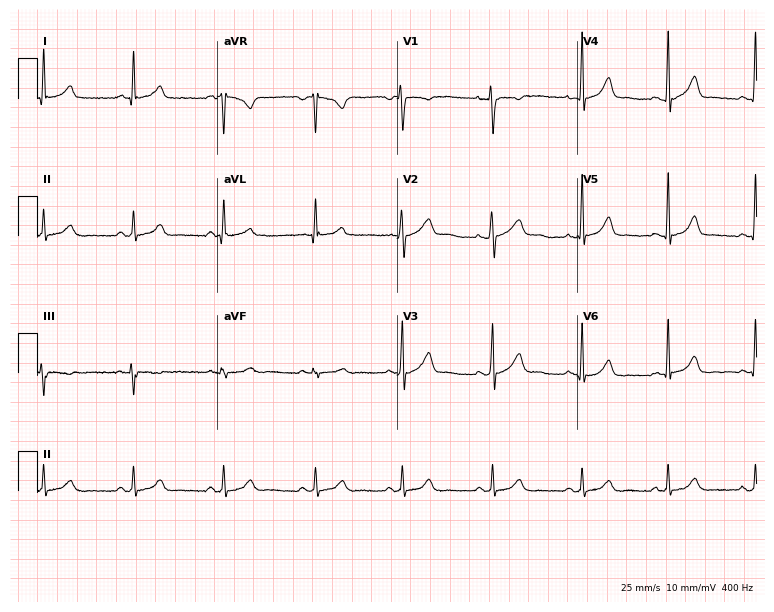
Electrocardiogram, a female patient, 35 years old. Overall reading on record: normal ECG.